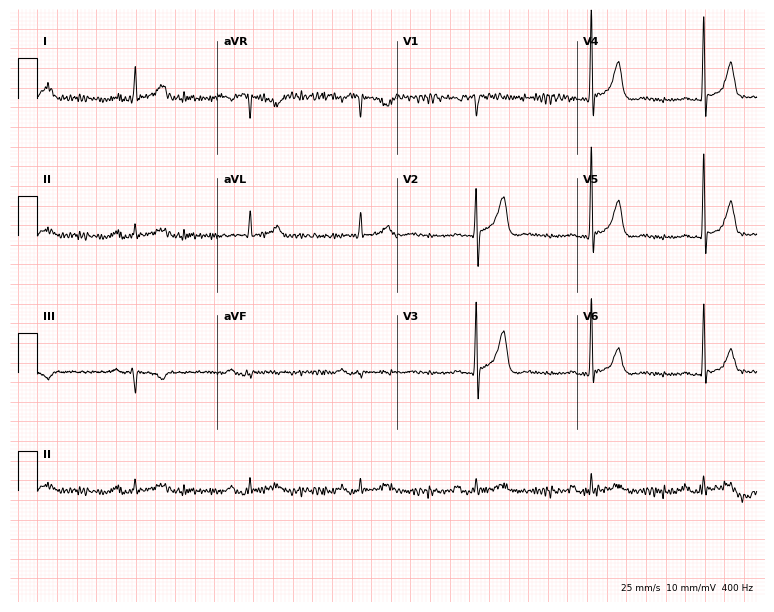
Standard 12-lead ECG recorded from a male, 74 years old (7.3-second recording at 400 Hz). None of these six findings is recorded: first-degree AV block, right bundle branch block, left bundle branch block, sinus bradycardia, atrial fibrillation, sinus tachycardia.